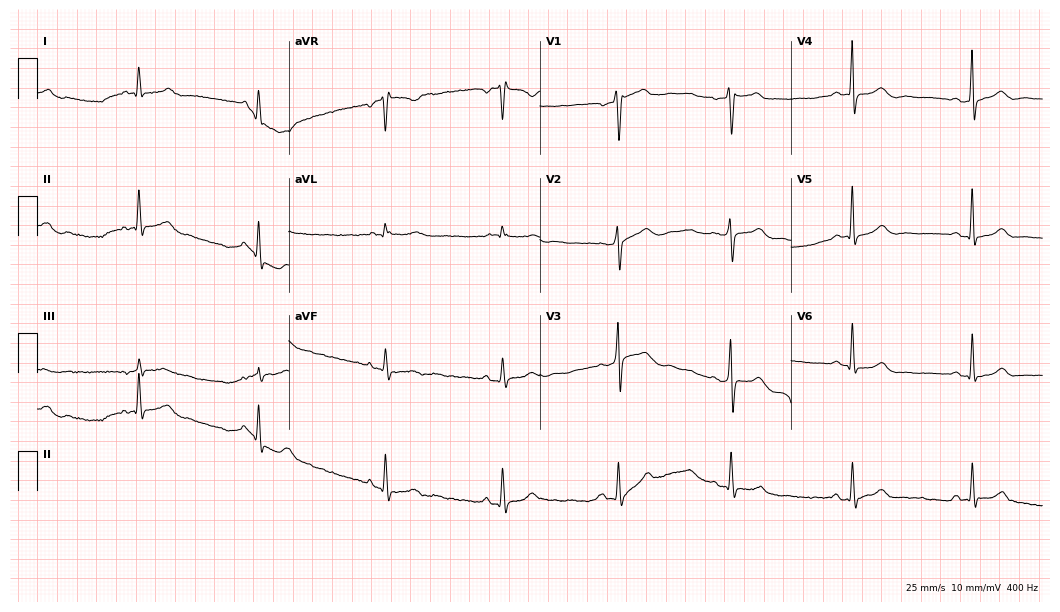
Standard 12-lead ECG recorded from a 55-year-old female (10.2-second recording at 400 Hz). None of these six findings is recorded: first-degree AV block, right bundle branch block, left bundle branch block, sinus bradycardia, atrial fibrillation, sinus tachycardia. Only these six findings were labelled.